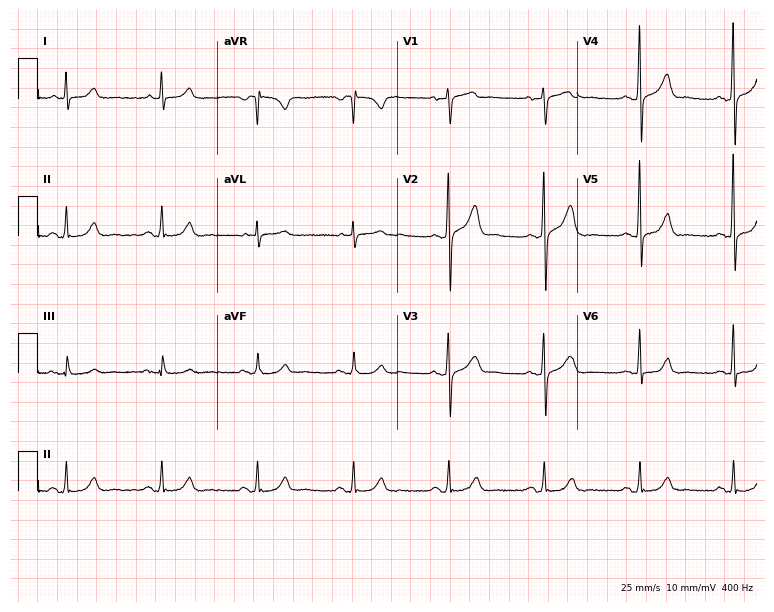
Resting 12-lead electrocardiogram (7.3-second recording at 400 Hz). Patient: a male, 53 years old. Read as a normal ECG.